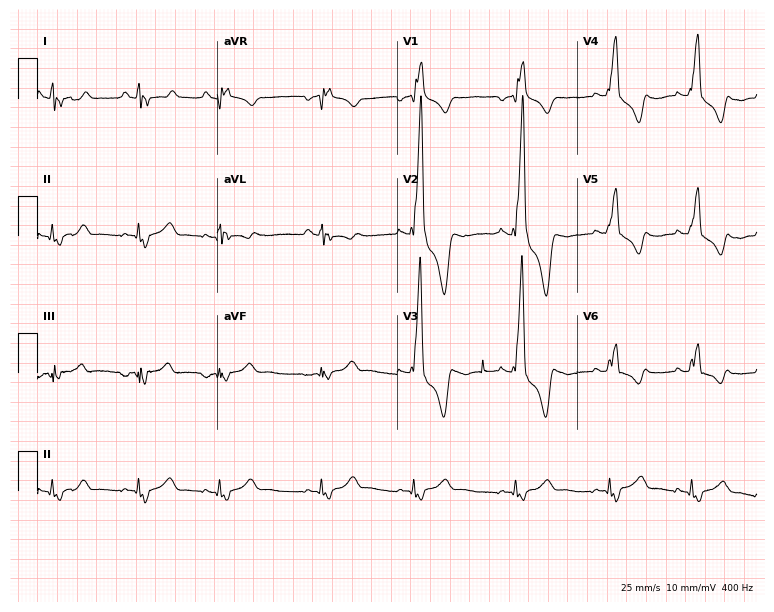
Standard 12-lead ECG recorded from a 17-year-old female patient (7.3-second recording at 400 Hz). The tracing shows right bundle branch block.